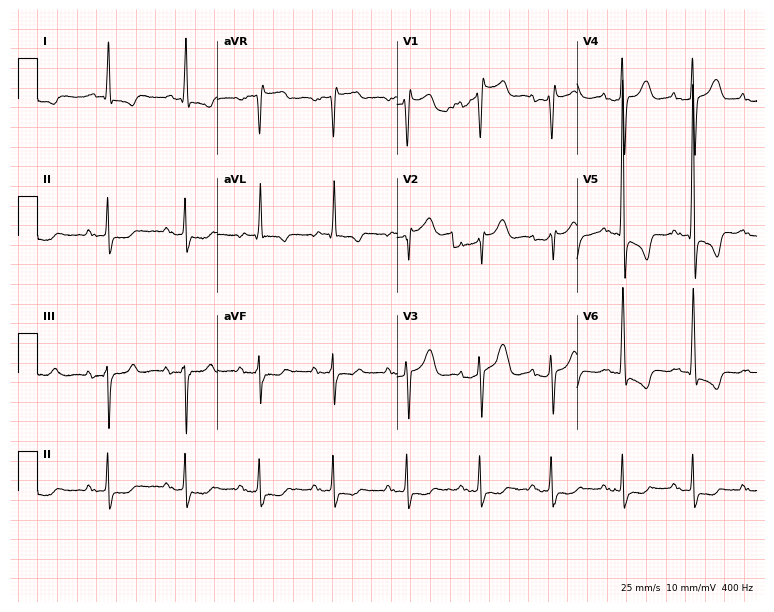
12-lead ECG from a man, 82 years old. No first-degree AV block, right bundle branch block, left bundle branch block, sinus bradycardia, atrial fibrillation or sinus tachycardia recorded for this tracing.